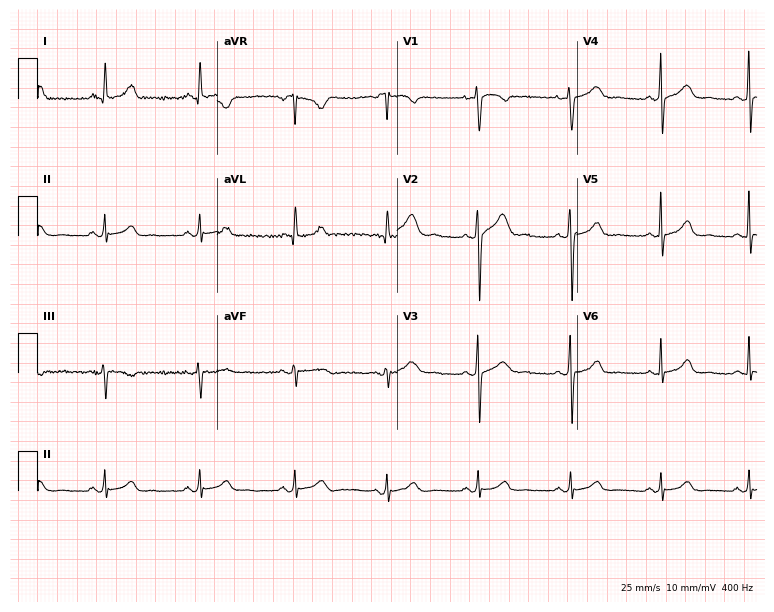
Electrocardiogram (7.3-second recording at 400 Hz), a 40-year-old female patient. Overall reading on record: normal ECG.